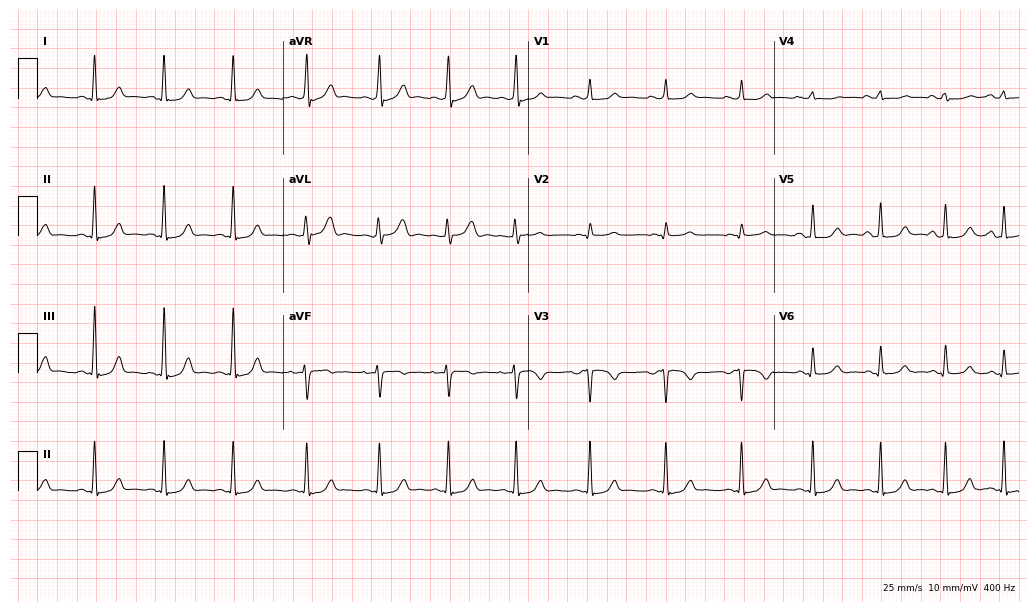
ECG — a female, 36 years old. Screened for six findings — first-degree AV block, right bundle branch block, left bundle branch block, sinus bradycardia, atrial fibrillation, sinus tachycardia — none is recorded. Findings outside these six are not listed.